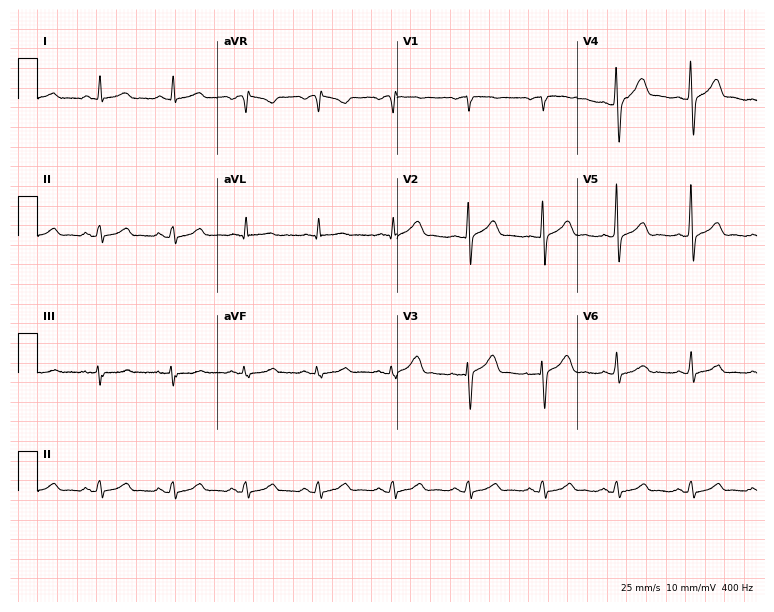
Resting 12-lead electrocardiogram (7.3-second recording at 400 Hz). Patient: a male, 57 years old. Read as a normal ECG.